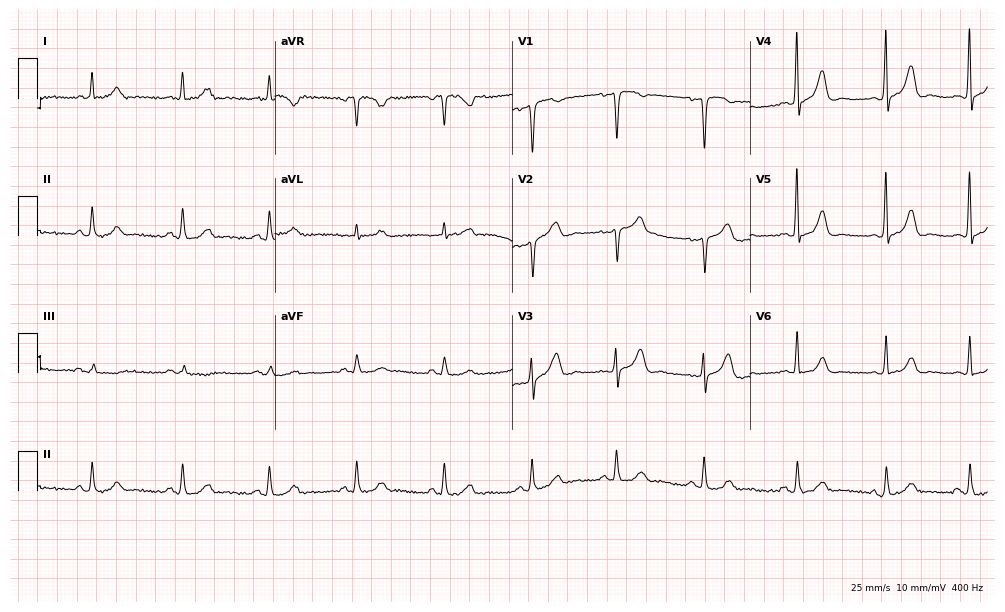
12-lead ECG from a woman, 51 years old (9.7-second recording at 400 Hz). Recorded interpretation: within normal limits.